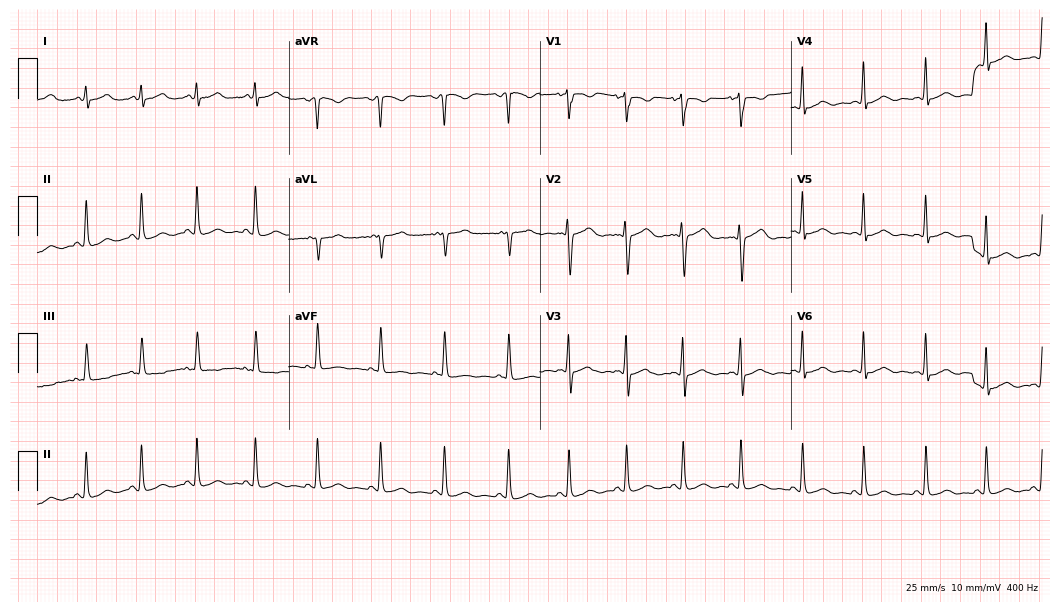
12-lead ECG (10.2-second recording at 400 Hz) from a woman, 20 years old. Screened for six findings — first-degree AV block, right bundle branch block (RBBB), left bundle branch block (LBBB), sinus bradycardia, atrial fibrillation (AF), sinus tachycardia — none is recorded.